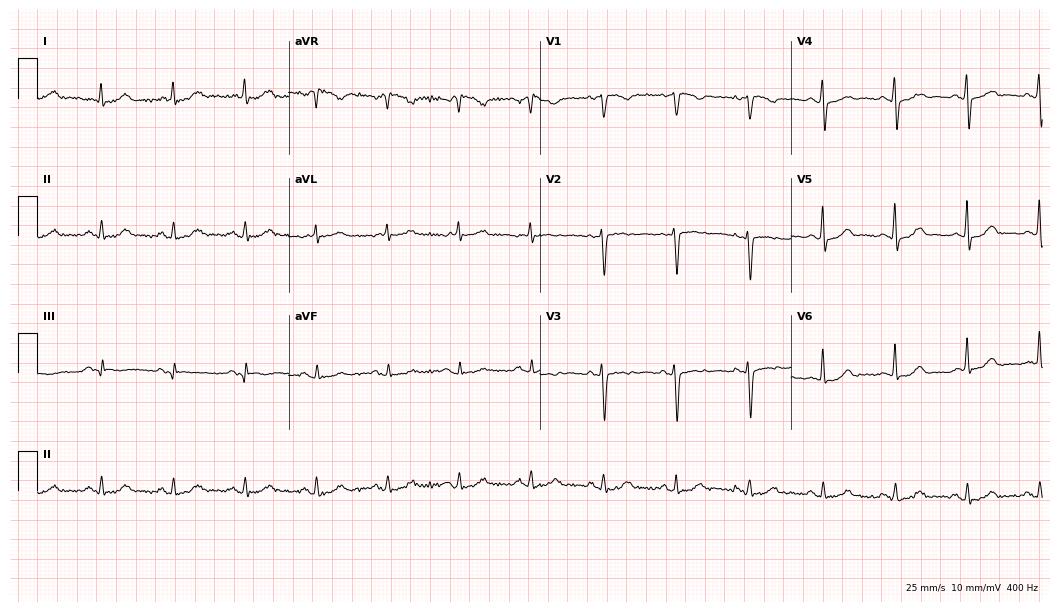
ECG — a female patient, 73 years old. Labelled as a normal ECG.